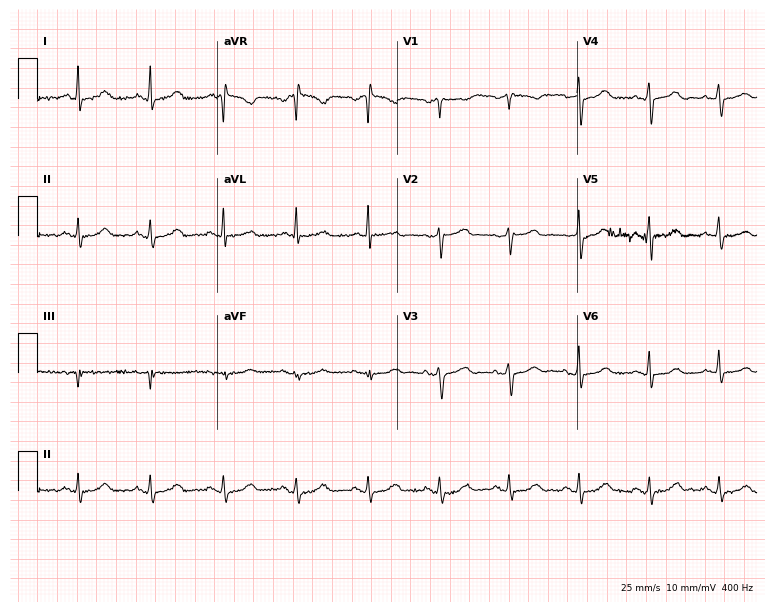
12-lead ECG (7.3-second recording at 400 Hz) from a 50-year-old woman. Labelled as a normal ECG.